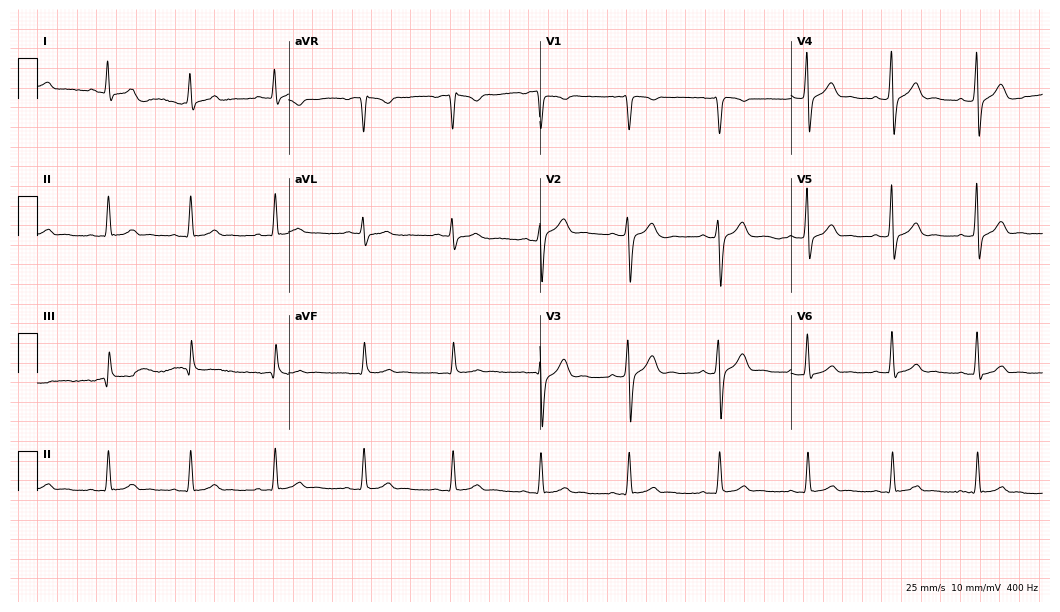
Standard 12-lead ECG recorded from a man, 33 years old (10.2-second recording at 400 Hz). None of these six findings is recorded: first-degree AV block, right bundle branch block, left bundle branch block, sinus bradycardia, atrial fibrillation, sinus tachycardia.